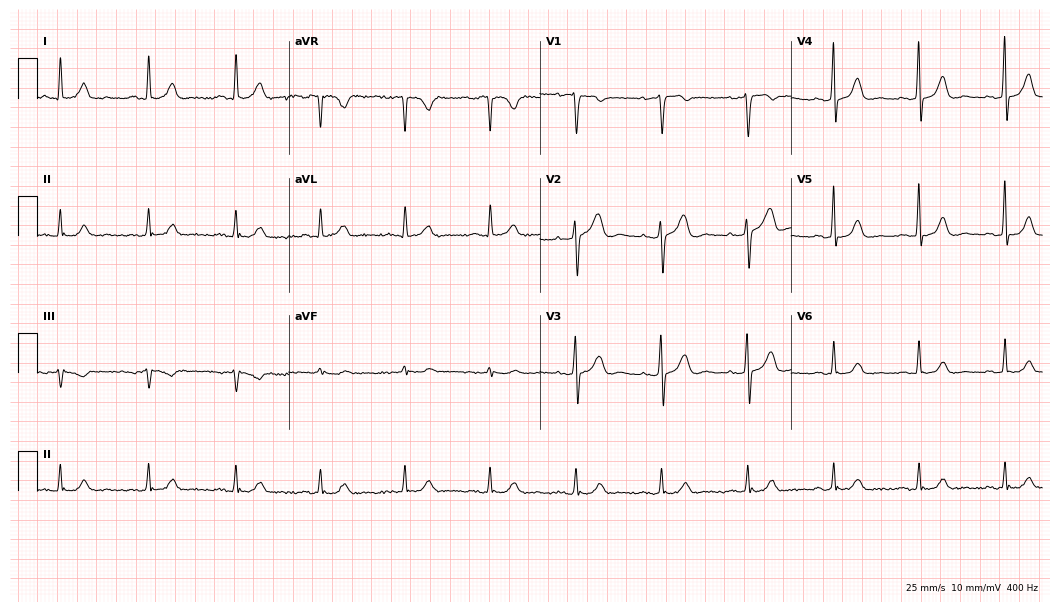
Electrocardiogram, a 61-year-old male patient. Overall reading on record: normal ECG.